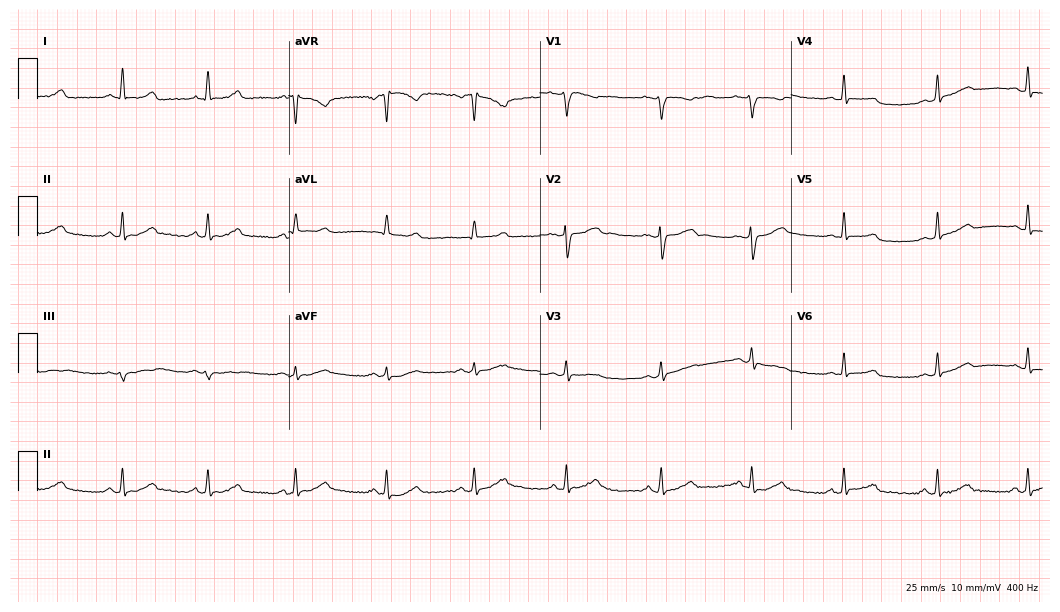
Electrocardiogram, a female patient, 34 years old. Overall reading on record: normal ECG.